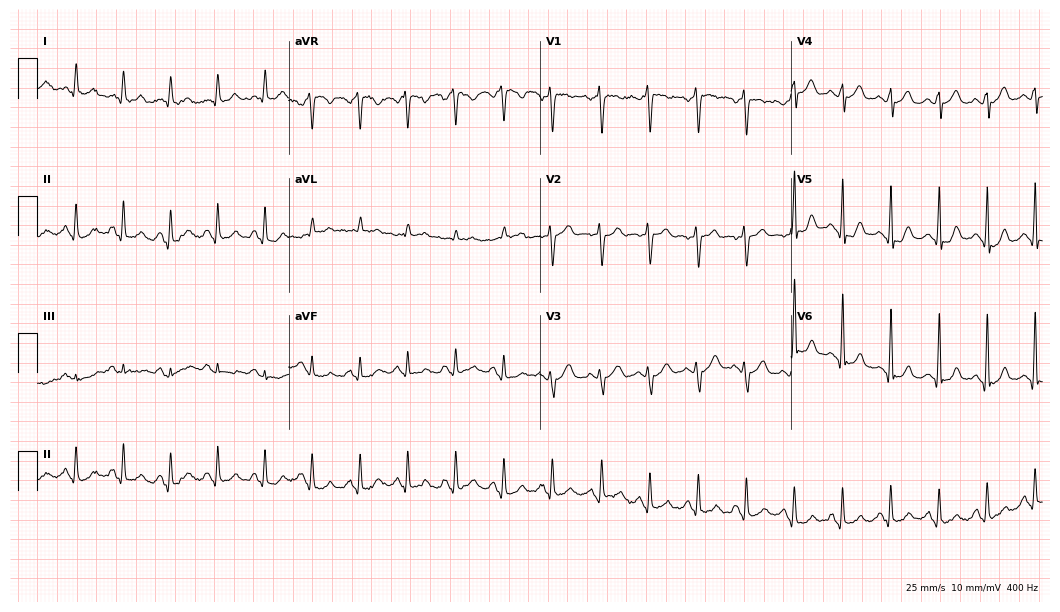
ECG — a female, 43 years old. Findings include sinus tachycardia (a sinus rate of 100 beats per minute or more).